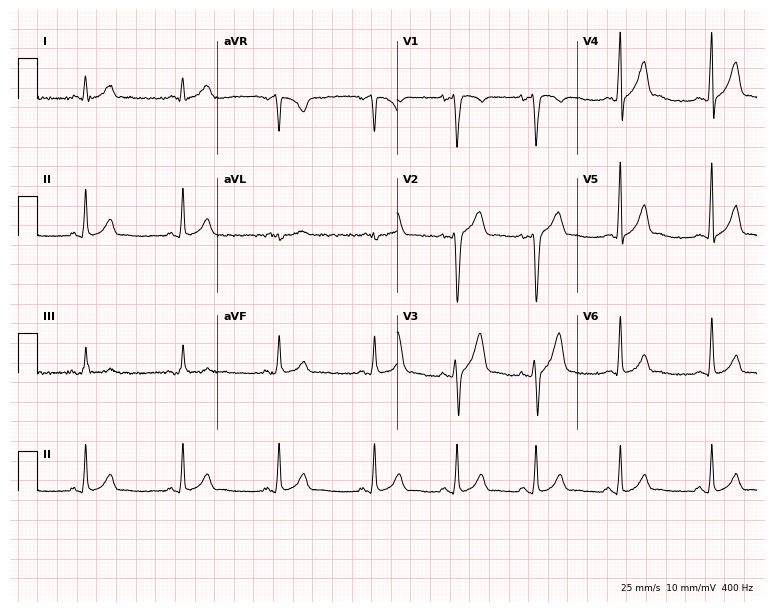
12-lead ECG from a man, 26 years old (7.3-second recording at 400 Hz). Recorded interpretation: within normal limits.